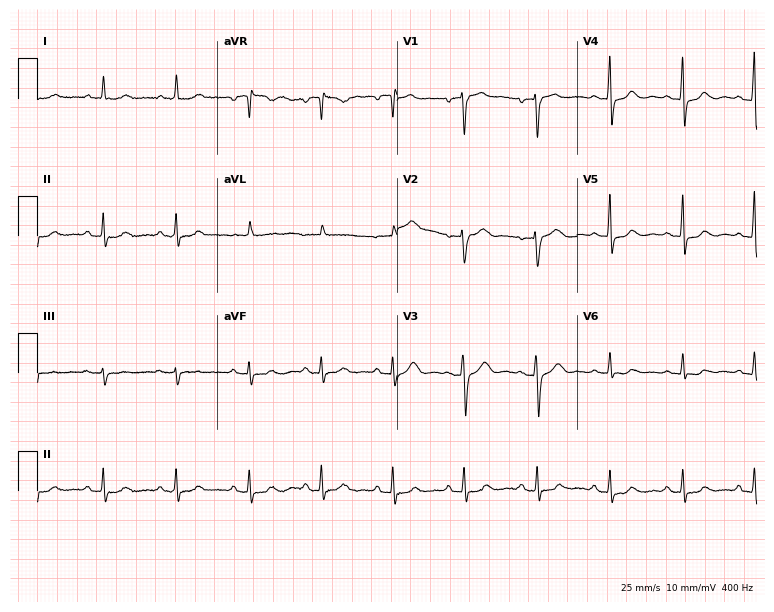
Electrocardiogram, a female patient, 67 years old. Overall reading on record: normal ECG.